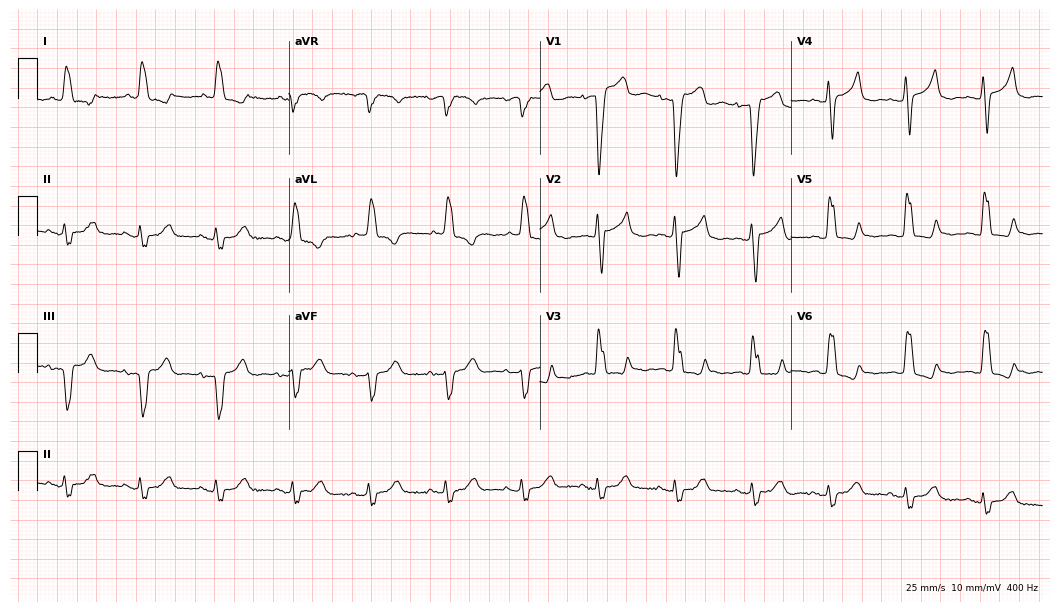
ECG — an 85-year-old female patient. Findings include left bundle branch block.